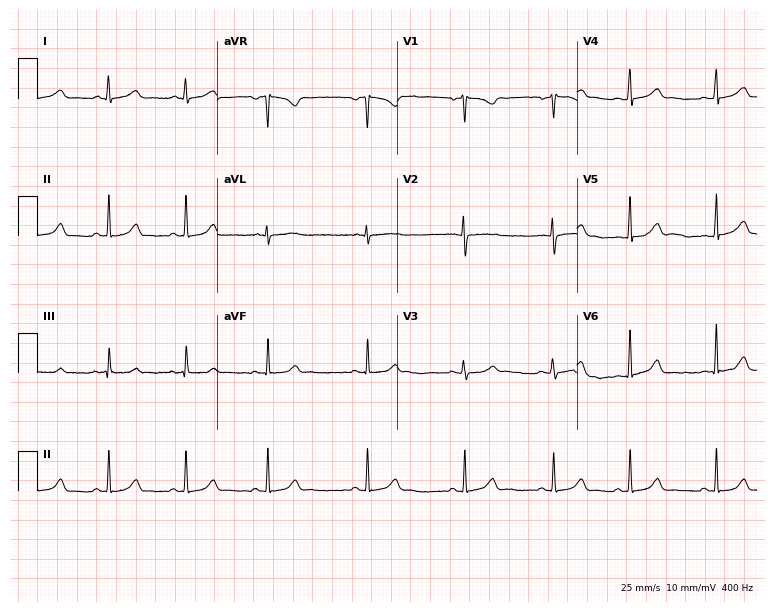
12-lead ECG from a 19-year-old female (7.3-second recording at 400 Hz). Recorded interpretation: within normal limits.